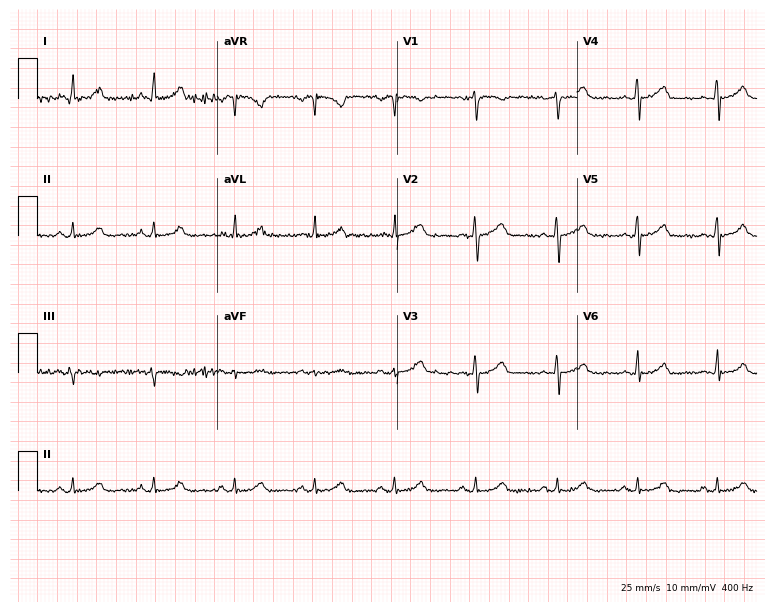
Resting 12-lead electrocardiogram. Patient: a 34-year-old female. Read as a normal ECG.